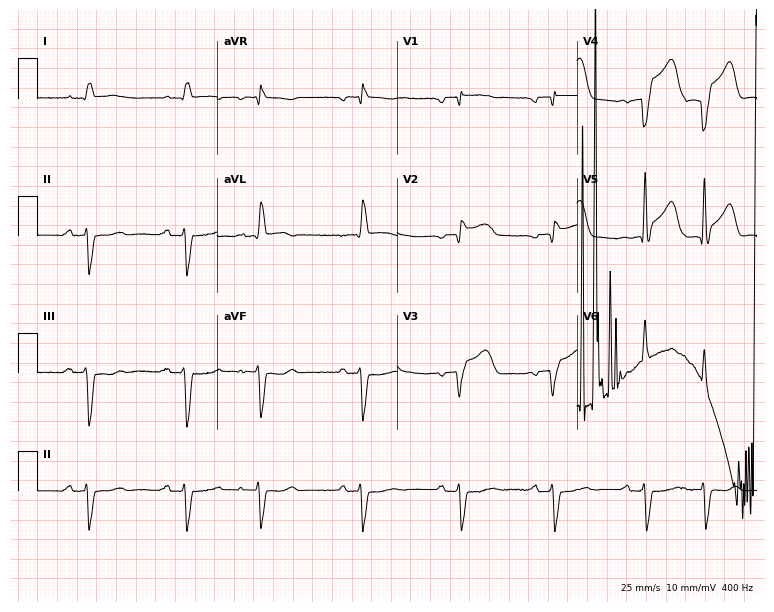
ECG — an 80-year-old man. Screened for six findings — first-degree AV block, right bundle branch block, left bundle branch block, sinus bradycardia, atrial fibrillation, sinus tachycardia — none is recorded.